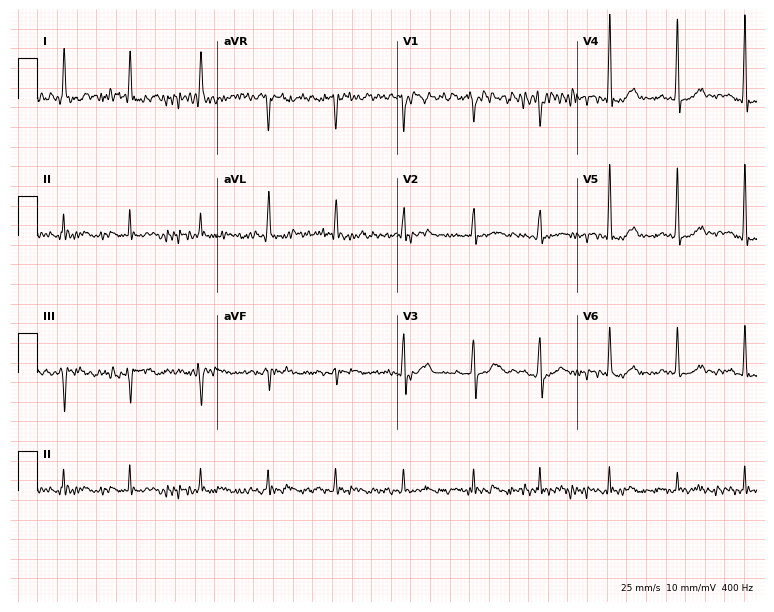
Resting 12-lead electrocardiogram. Patient: an 83-year-old woman. Read as a normal ECG.